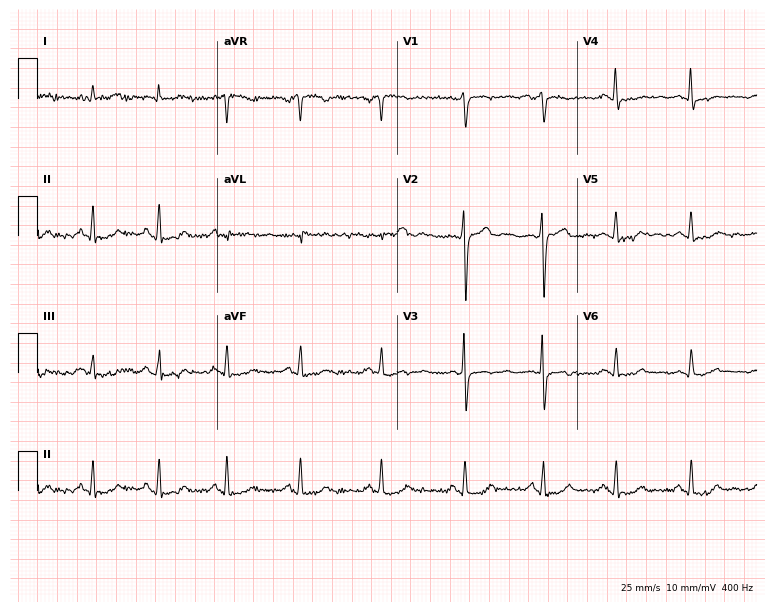
ECG — a female patient, 23 years old. Labelled as a normal ECG.